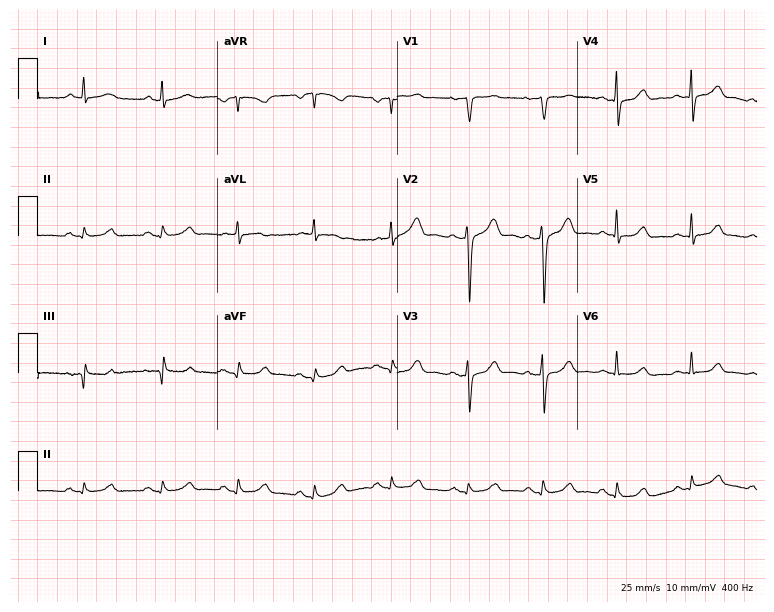
12-lead ECG from a 53-year-old female (7.3-second recording at 400 Hz). Recorded interpretation: within normal limits.